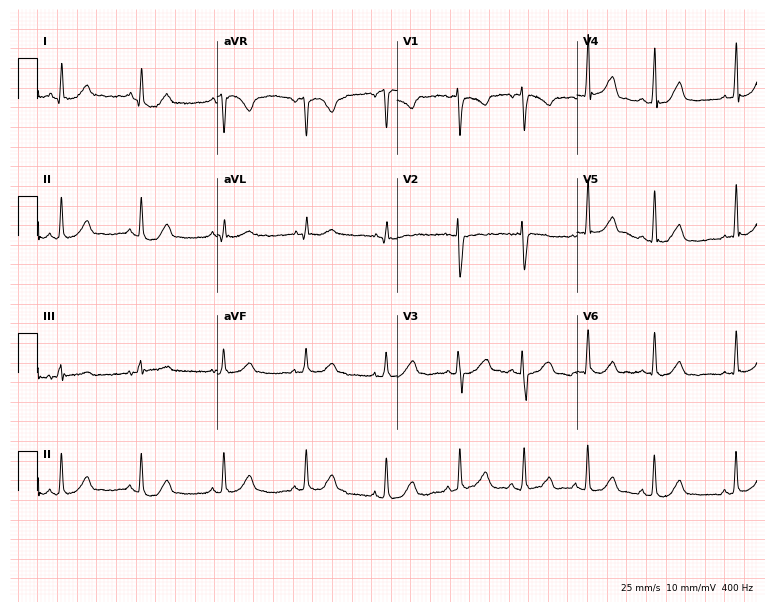
Resting 12-lead electrocardiogram. Patient: a woman, 23 years old. Read as a normal ECG.